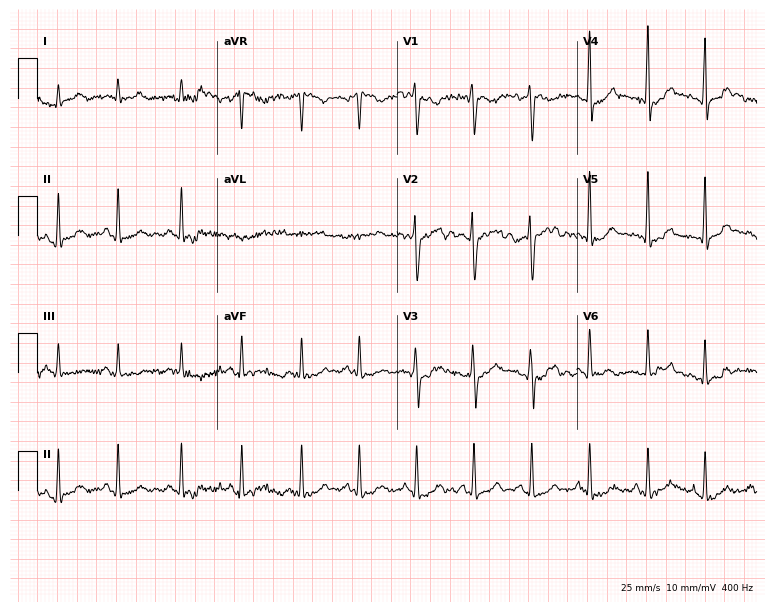
12-lead ECG from a 34-year-old male (7.3-second recording at 400 Hz). Shows sinus tachycardia (a sinus rate of 100 beats per minute or more).